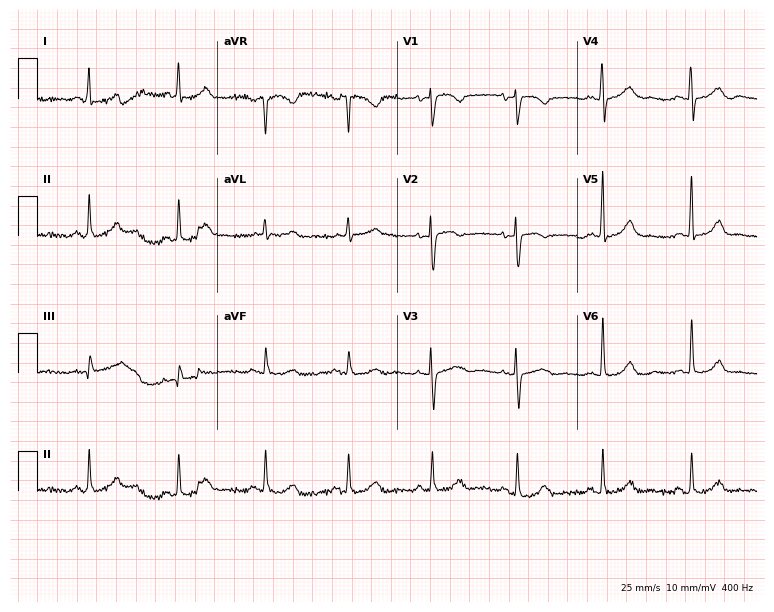
Standard 12-lead ECG recorded from a female, 66 years old (7.3-second recording at 400 Hz). Read as a normal ECG.